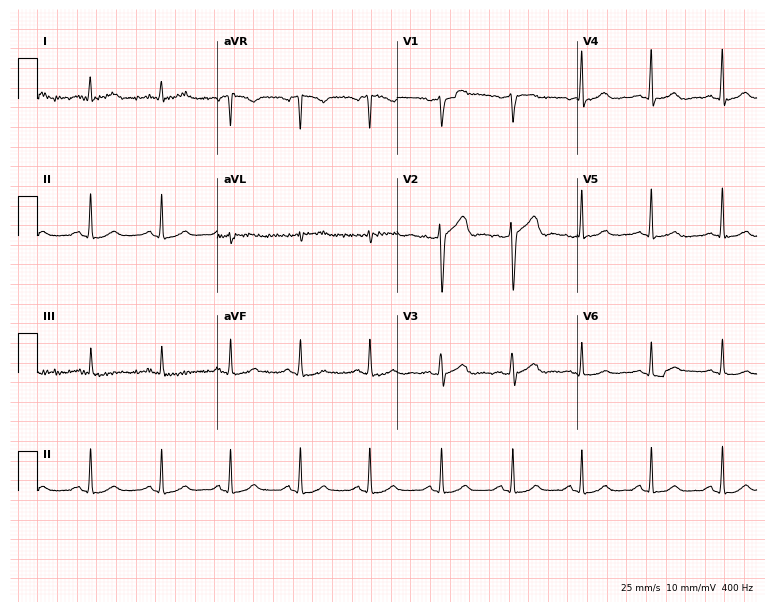
12-lead ECG from a male patient, 52 years old (7.3-second recording at 400 Hz). No first-degree AV block, right bundle branch block, left bundle branch block, sinus bradycardia, atrial fibrillation or sinus tachycardia recorded for this tracing.